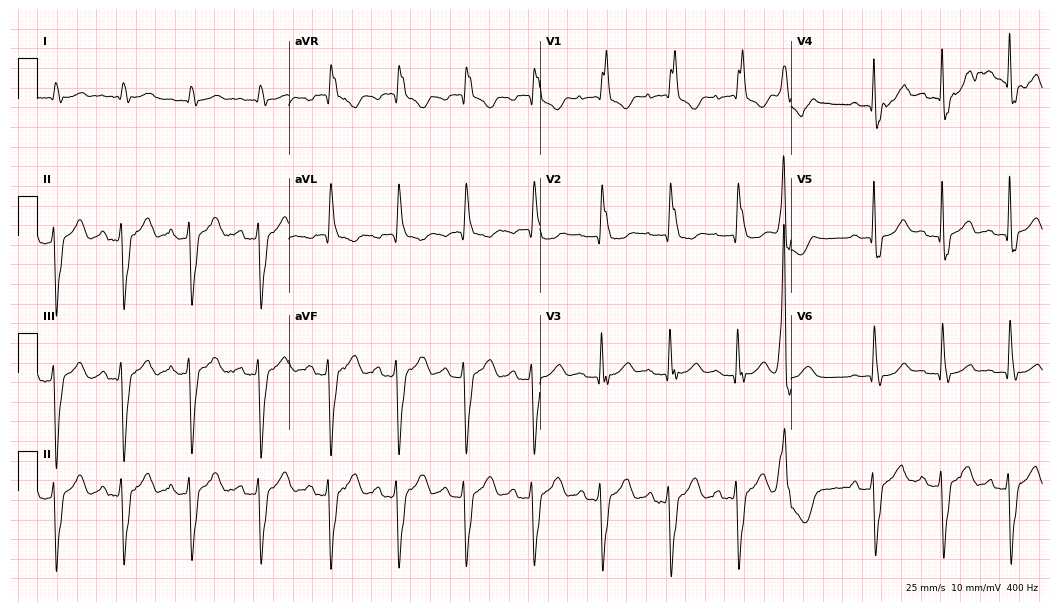
12-lead ECG from a 79-year-old man. Findings include right bundle branch block.